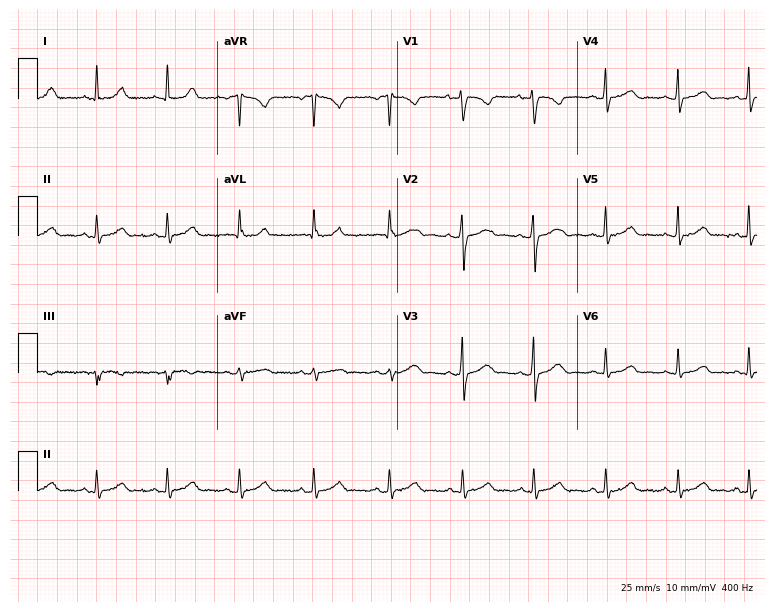
Standard 12-lead ECG recorded from a female, 35 years old. Read as a normal ECG.